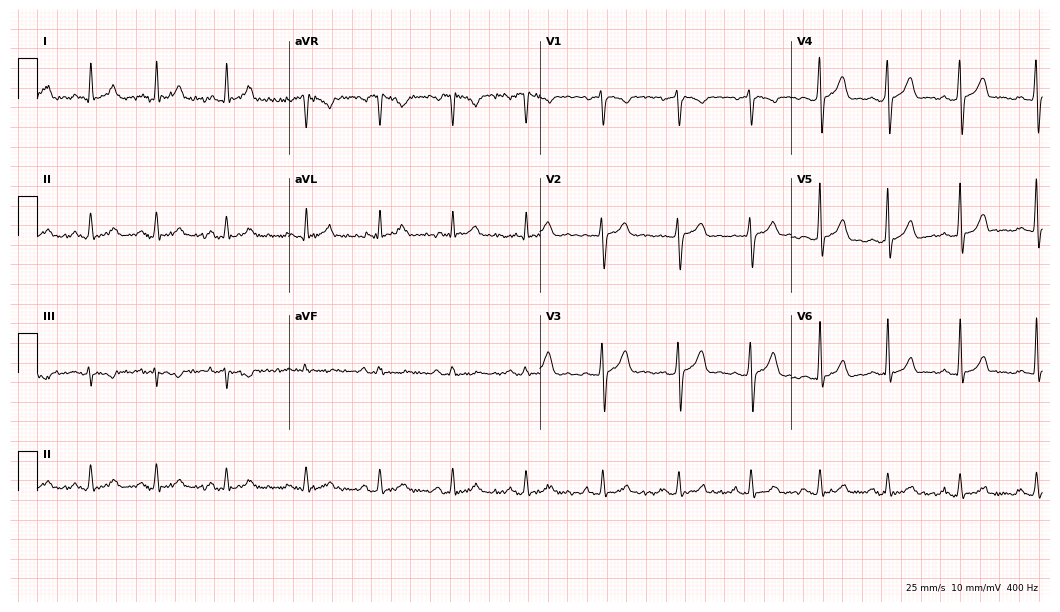
12-lead ECG from a 27-year-old male (10.2-second recording at 400 Hz). Recorded interpretation: within normal limits.